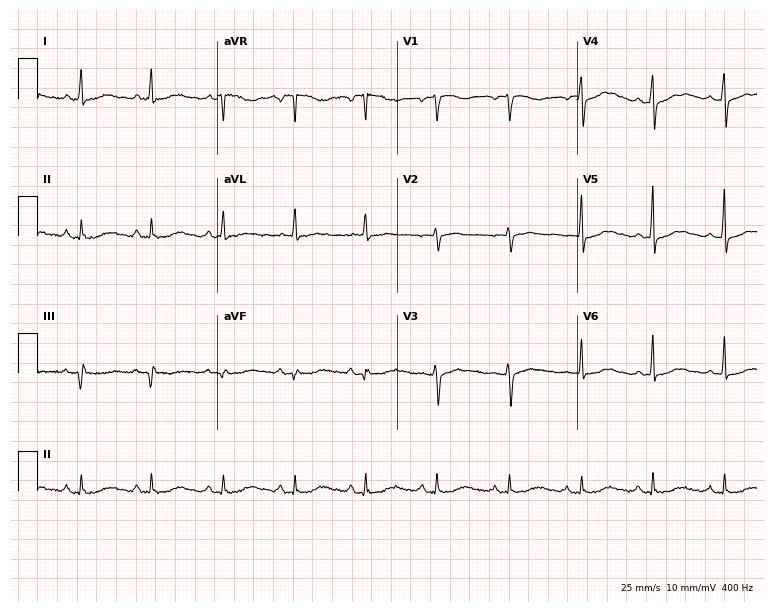
Standard 12-lead ECG recorded from a woman, 73 years old (7.3-second recording at 400 Hz). None of these six findings is recorded: first-degree AV block, right bundle branch block (RBBB), left bundle branch block (LBBB), sinus bradycardia, atrial fibrillation (AF), sinus tachycardia. Findings outside these six are not listed.